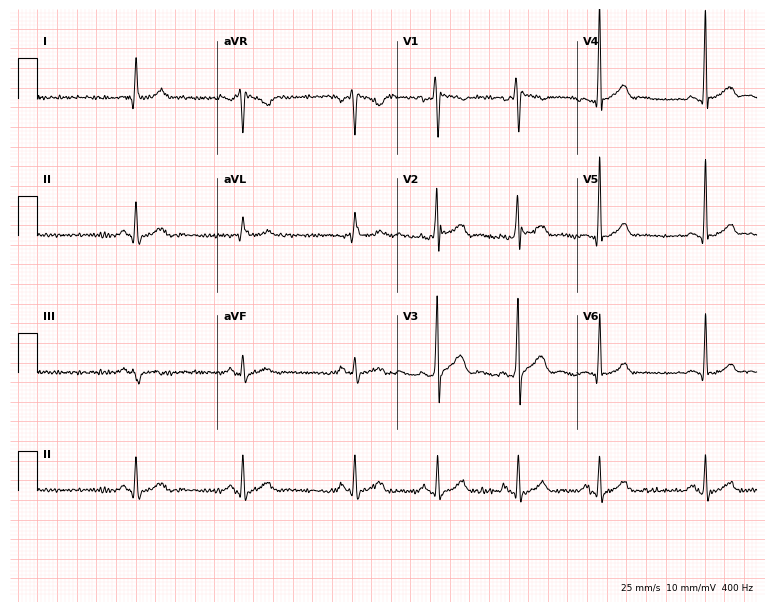
12-lead ECG (7.3-second recording at 400 Hz) from an 18-year-old male patient. Labelled as a normal ECG.